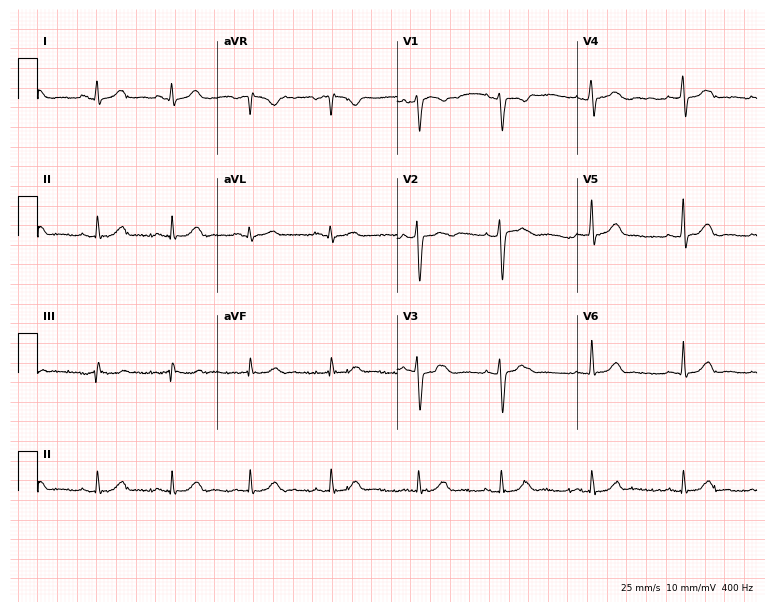
Resting 12-lead electrocardiogram (7.3-second recording at 400 Hz). Patient: an 18-year-old woman. None of these six findings is recorded: first-degree AV block, right bundle branch block, left bundle branch block, sinus bradycardia, atrial fibrillation, sinus tachycardia. Only these six findings were labelled.